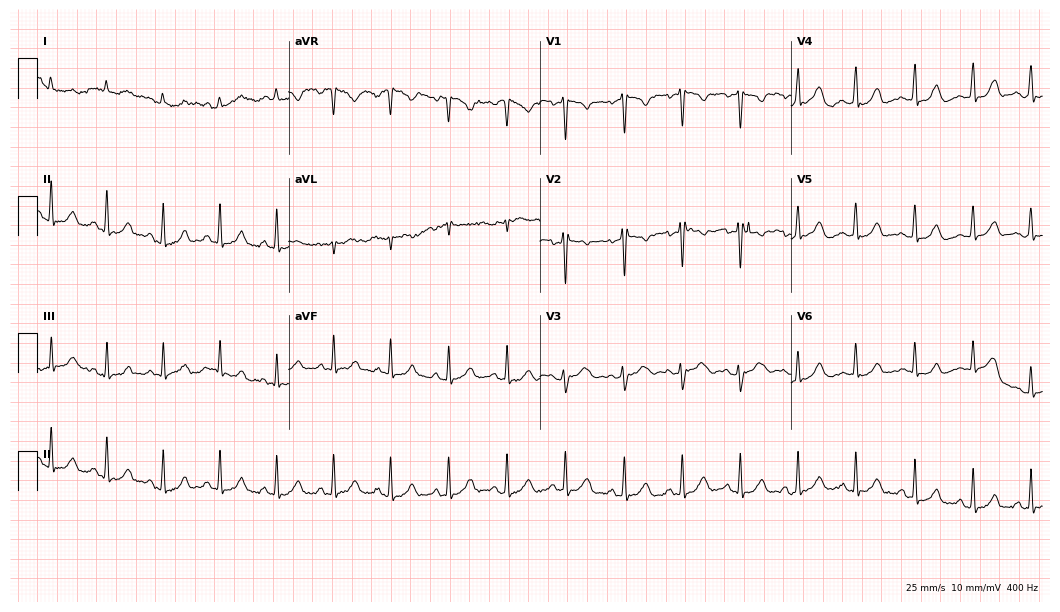
12-lead ECG from a woman, 29 years old. Recorded interpretation: within normal limits.